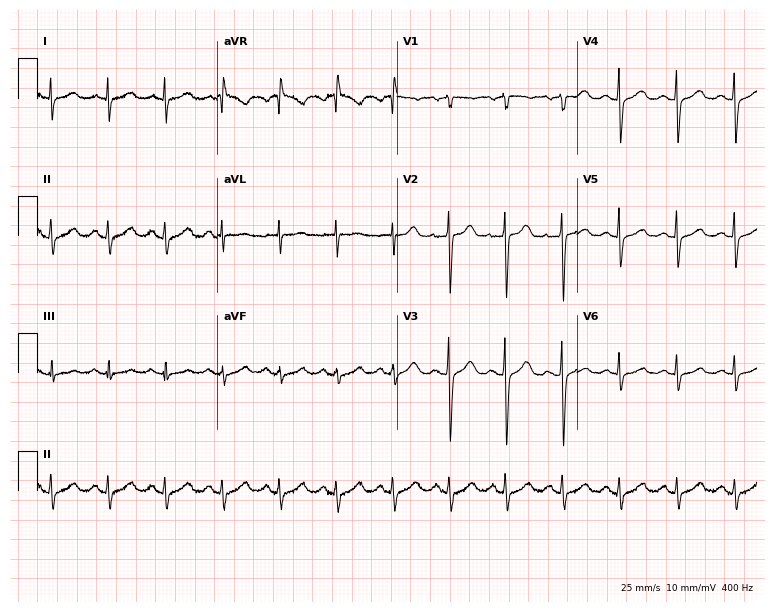
12-lead ECG from a woman, 69 years old (7.3-second recording at 400 Hz). No first-degree AV block, right bundle branch block, left bundle branch block, sinus bradycardia, atrial fibrillation or sinus tachycardia recorded for this tracing.